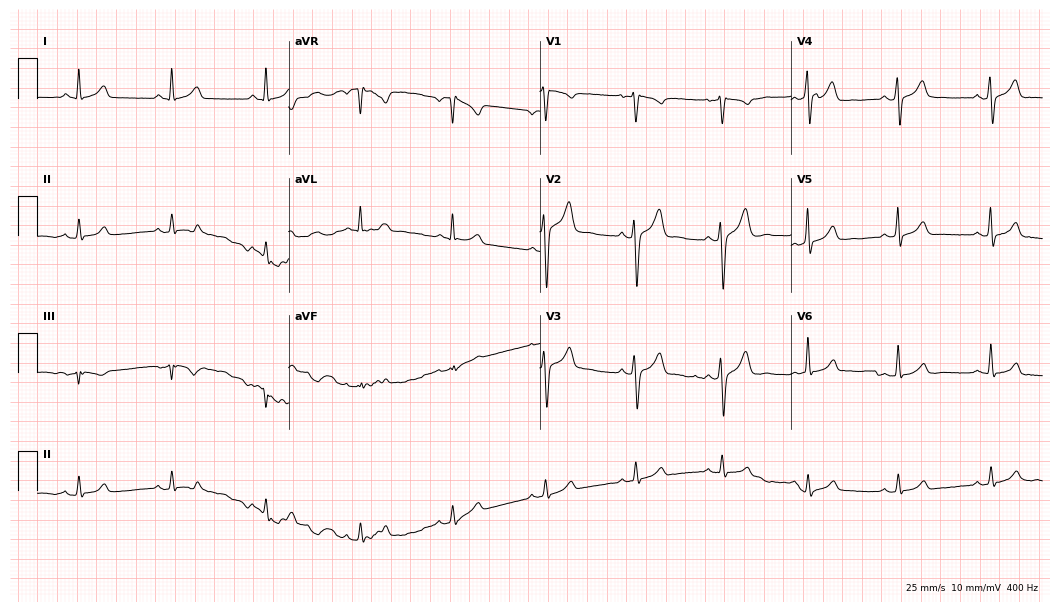
ECG — a 30-year-old man. Labelled as a normal ECG.